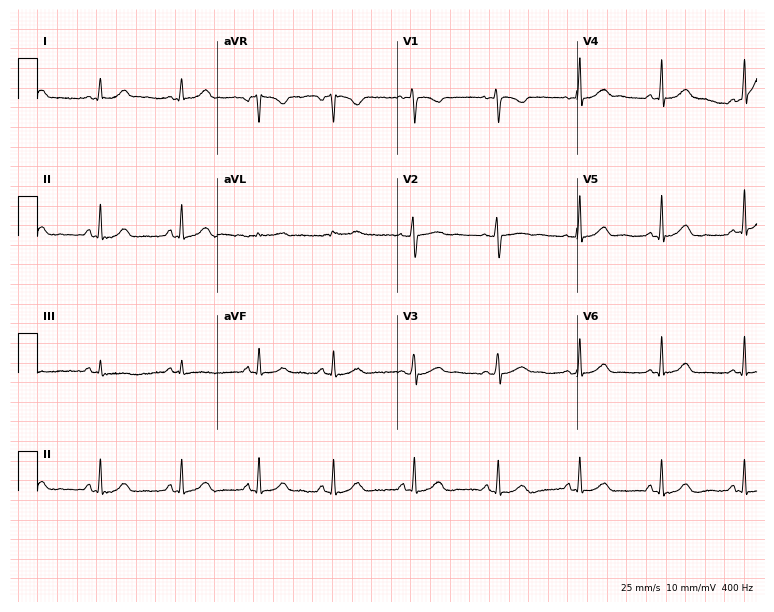
12-lead ECG from a woman, 37 years old (7.3-second recording at 400 Hz). Recorded interpretation: within normal limits.